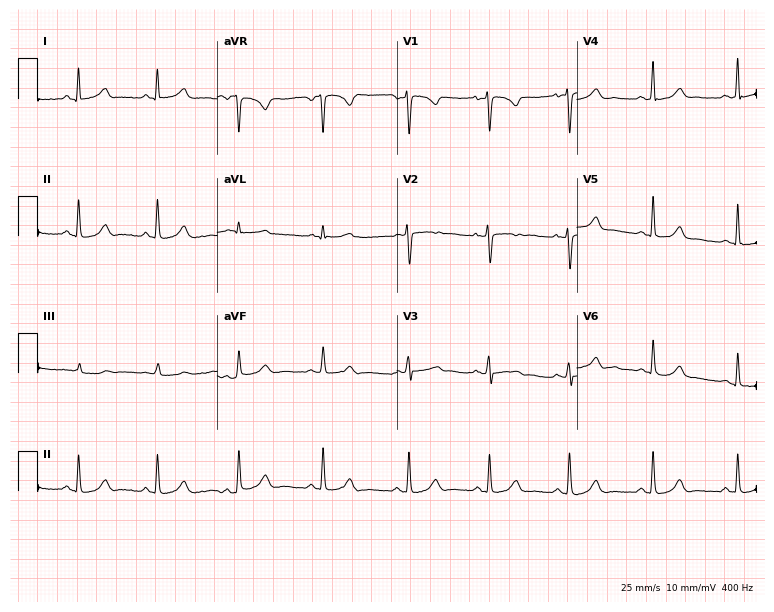
Electrocardiogram (7.3-second recording at 400 Hz), a 27-year-old female. Of the six screened findings (first-degree AV block, right bundle branch block, left bundle branch block, sinus bradycardia, atrial fibrillation, sinus tachycardia), none is recorded. Only these six findings were labelled.